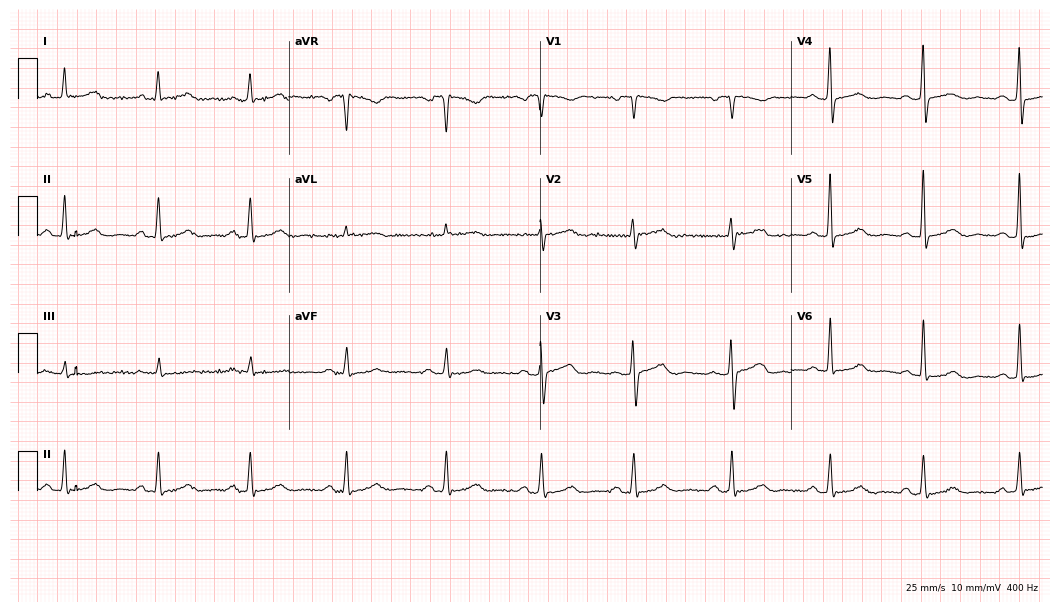
Resting 12-lead electrocardiogram (10.2-second recording at 400 Hz). Patient: a female, 59 years old. Read as a normal ECG.